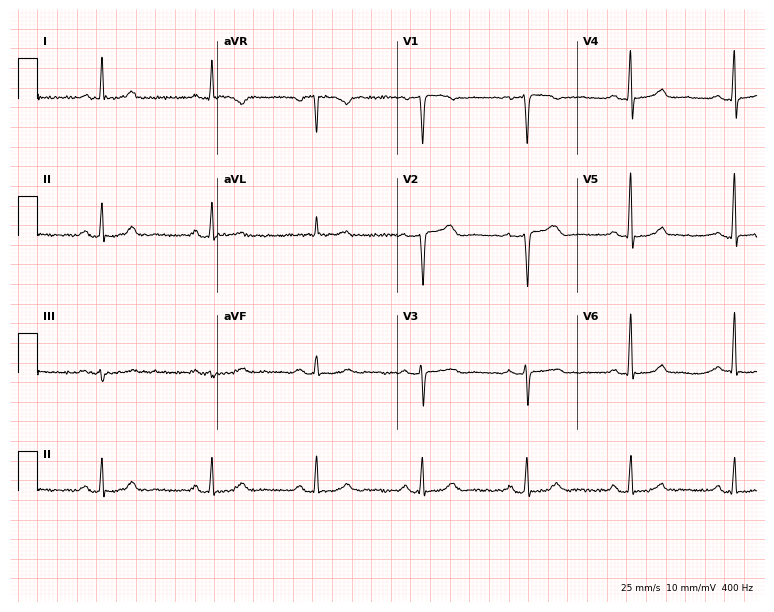
12-lead ECG from a 64-year-old female. Labelled as a normal ECG.